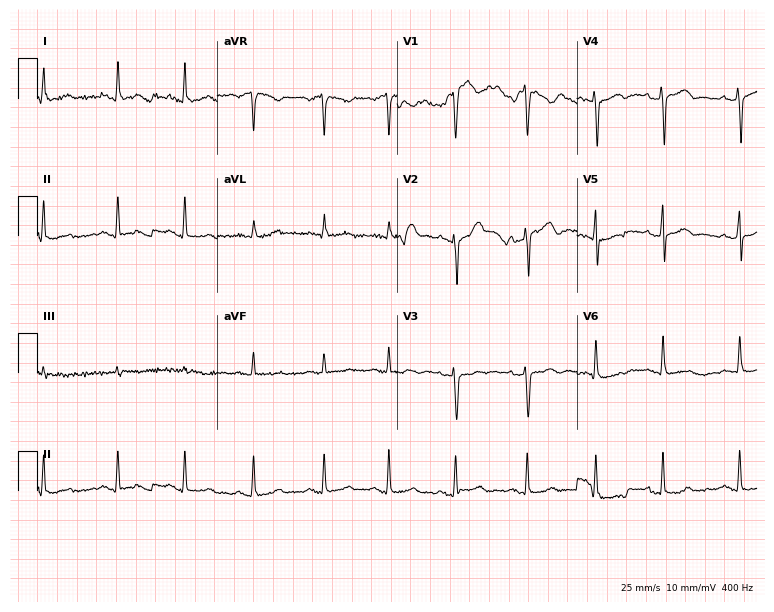
Electrocardiogram (7.3-second recording at 400 Hz), a man, 26 years old. Of the six screened findings (first-degree AV block, right bundle branch block (RBBB), left bundle branch block (LBBB), sinus bradycardia, atrial fibrillation (AF), sinus tachycardia), none is recorded. Only these six findings were labelled.